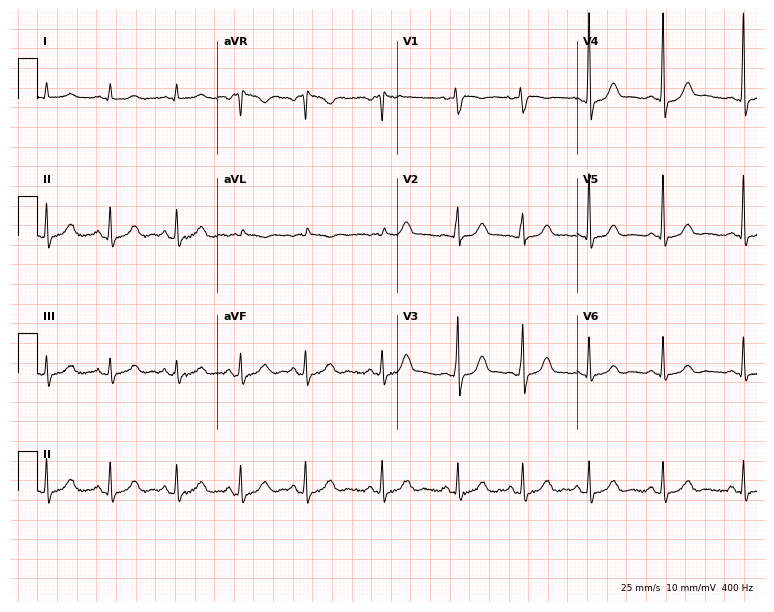
ECG (7.3-second recording at 400 Hz) — a woman, 26 years old. Labelled as a normal ECG.